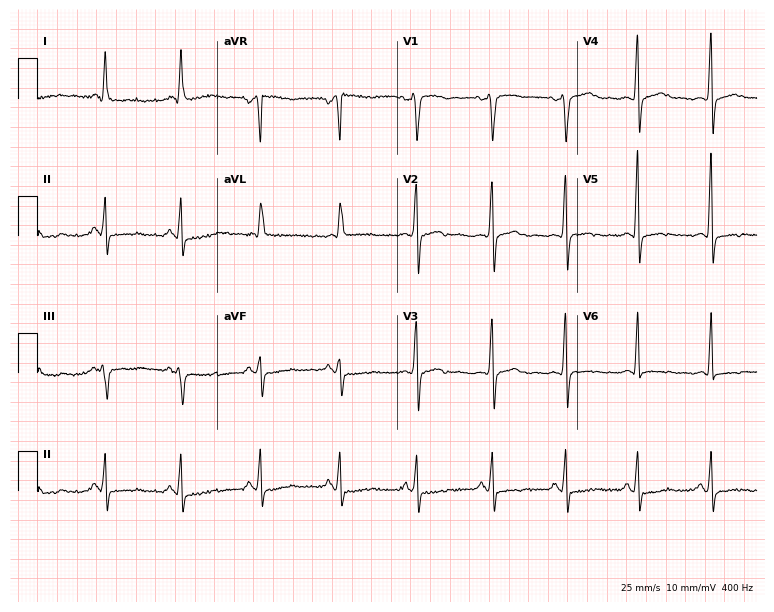
12-lead ECG from a 52-year-old female. Labelled as a normal ECG.